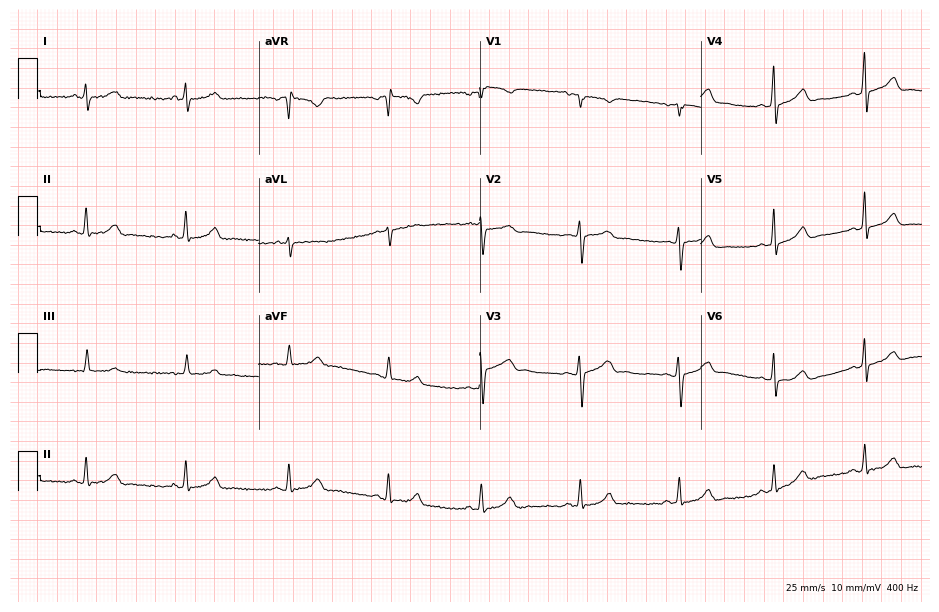
12-lead ECG (9-second recording at 400 Hz) from a female, 30 years old. Labelled as a normal ECG.